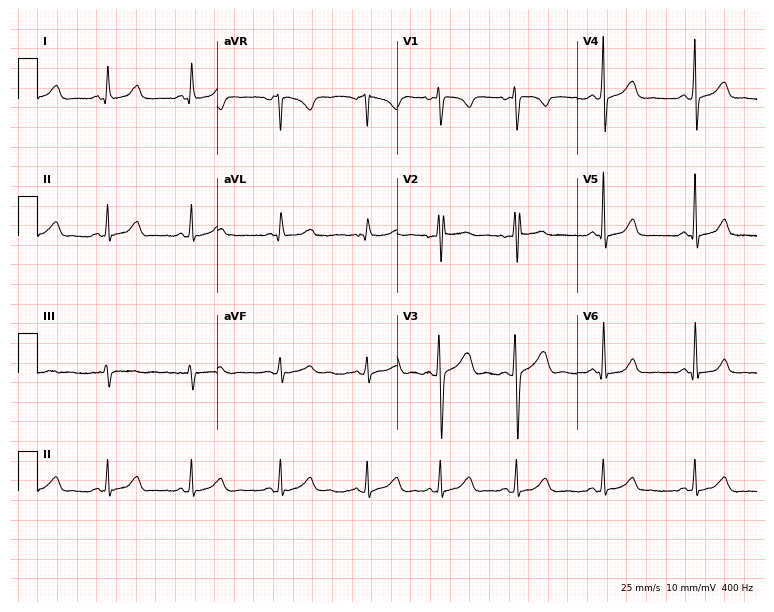
ECG (7.3-second recording at 400 Hz) — a 24-year-old woman. Labelled as a normal ECG.